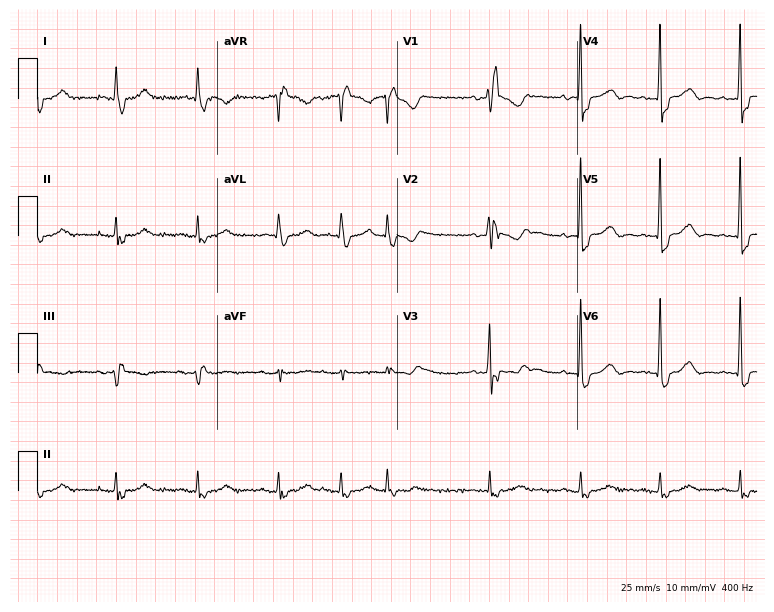
Electrocardiogram, a female patient, 68 years old. Interpretation includes right bundle branch block.